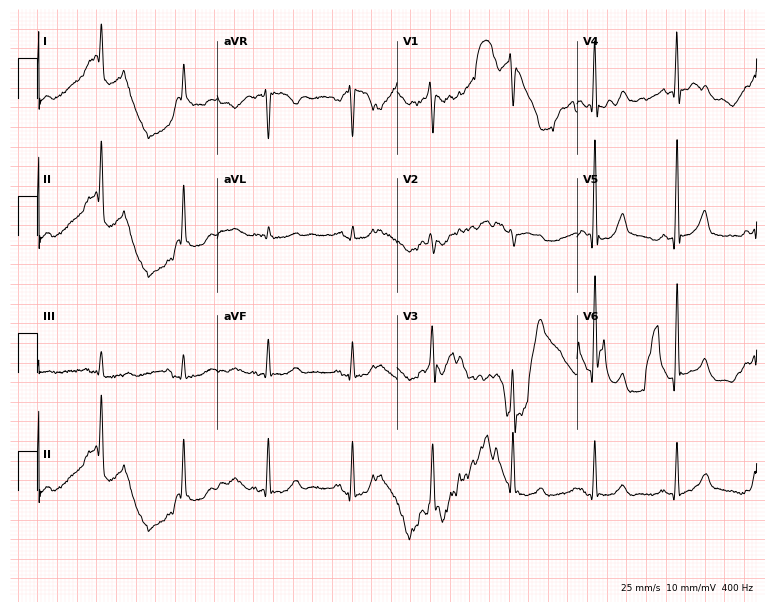
12-lead ECG (7.3-second recording at 400 Hz) from a male, 61 years old. Labelled as a normal ECG.